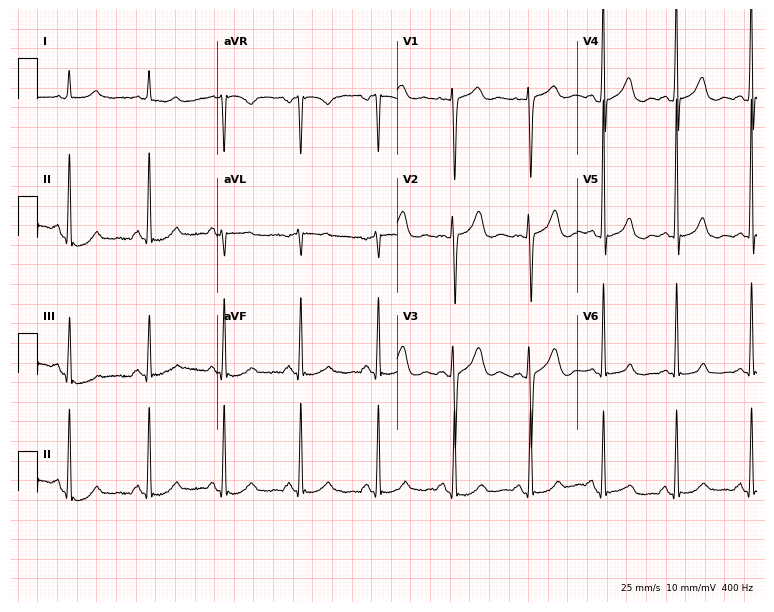
12-lead ECG from a woman, 53 years old. No first-degree AV block, right bundle branch block, left bundle branch block, sinus bradycardia, atrial fibrillation or sinus tachycardia recorded for this tracing.